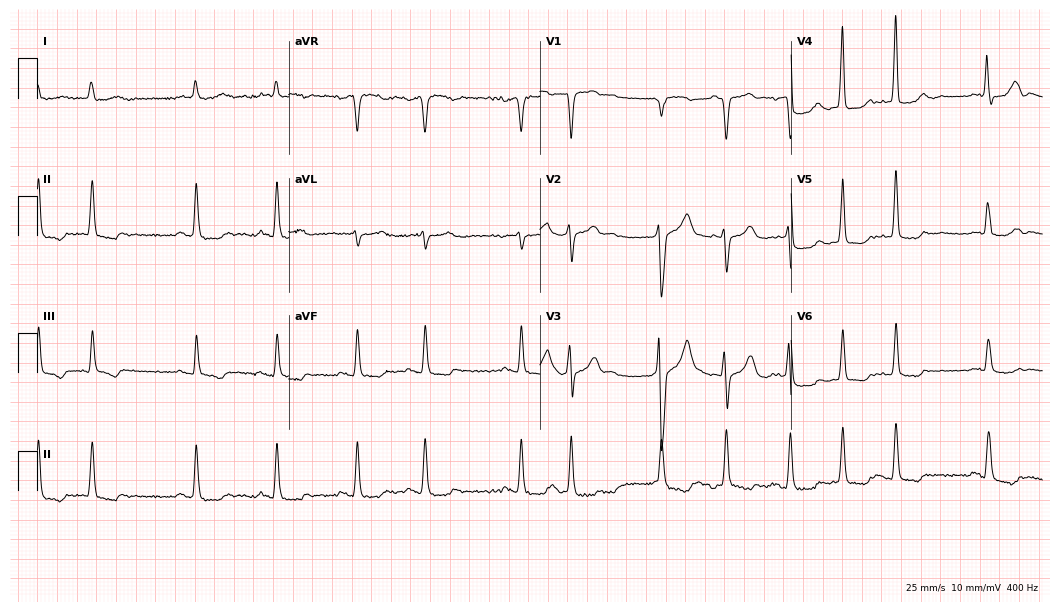
Electrocardiogram, a male, 69 years old. Of the six screened findings (first-degree AV block, right bundle branch block, left bundle branch block, sinus bradycardia, atrial fibrillation, sinus tachycardia), none is recorded.